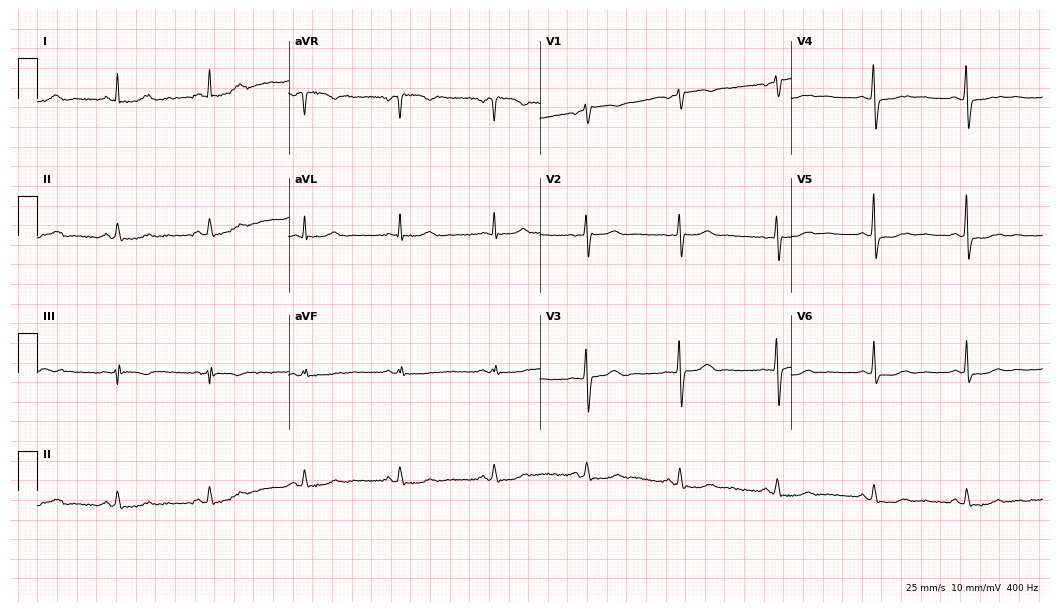
Resting 12-lead electrocardiogram. Patient: a 41-year-old female. None of these six findings is recorded: first-degree AV block, right bundle branch block, left bundle branch block, sinus bradycardia, atrial fibrillation, sinus tachycardia. Only these six findings were labelled.